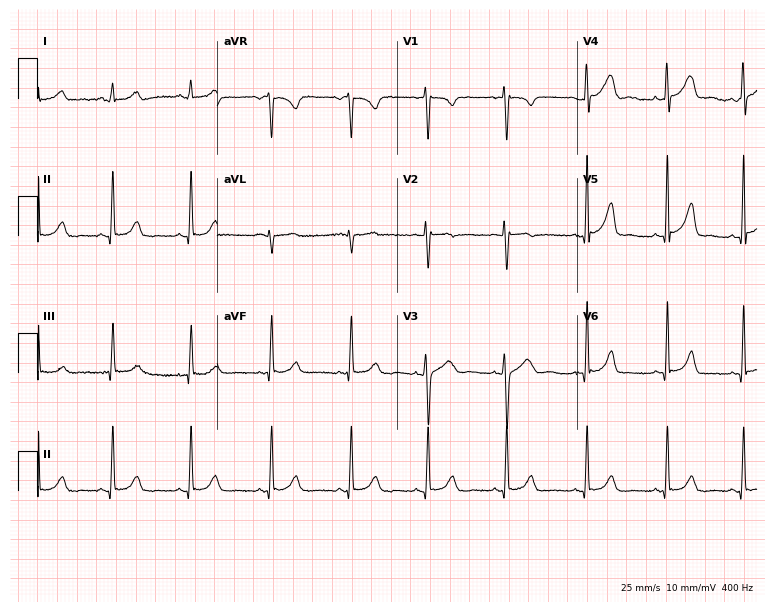
12-lead ECG from a 32-year-old woman. Labelled as a normal ECG.